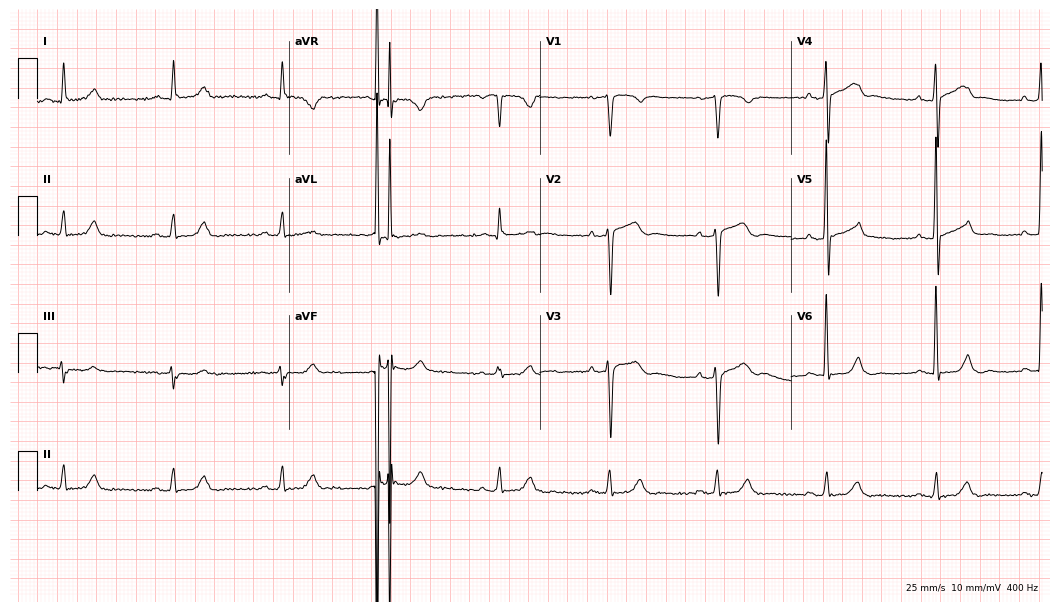
12-lead ECG (10.2-second recording at 400 Hz) from a male patient, 62 years old. Screened for six findings — first-degree AV block, right bundle branch block (RBBB), left bundle branch block (LBBB), sinus bradycardia, atrial fibrillation (AF), sinus tachycardia — none is recorded. Findings outside these six are not listed.